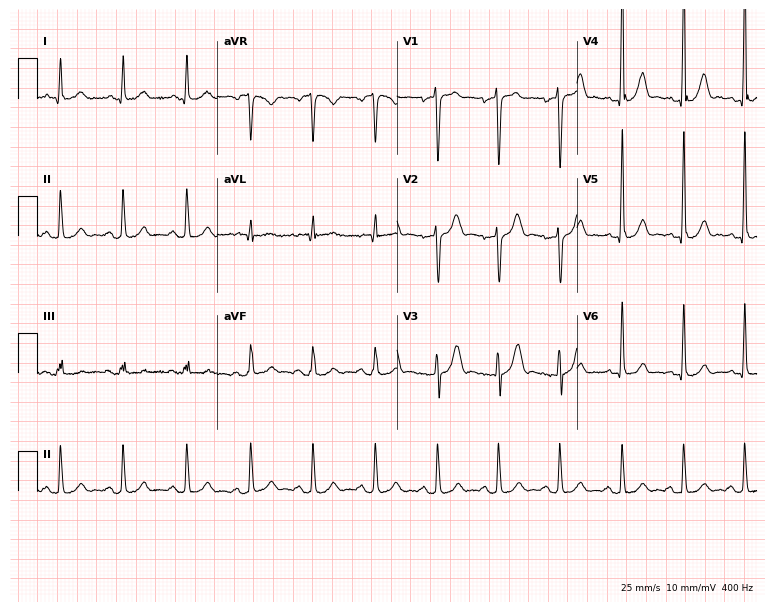
ECG (7.3-second recording at 400 Hz) — a 45-year-old male patient. Labelled as a normal ECG.